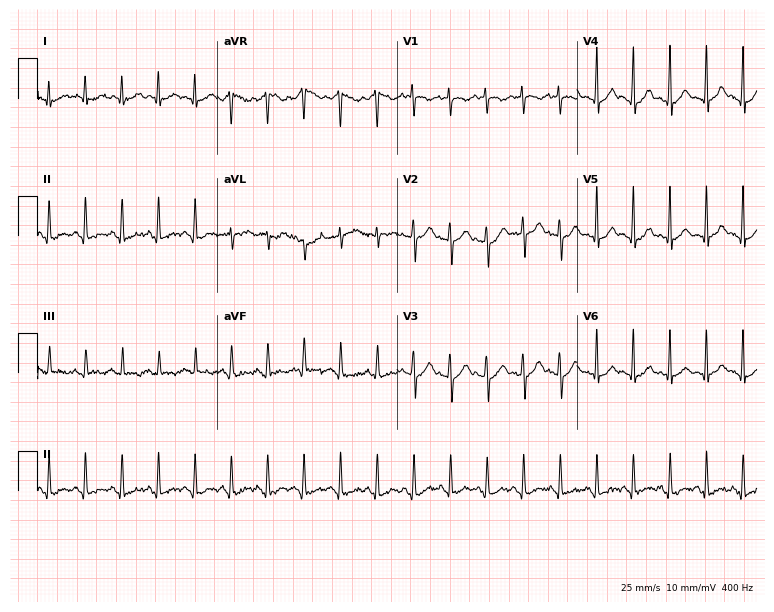
12-lead ECG from a female patient, 19 years old (7.3-second recording at 400 Hz). Shows sinus tachycardia (a sinus rate of 100 beats per minute or more).